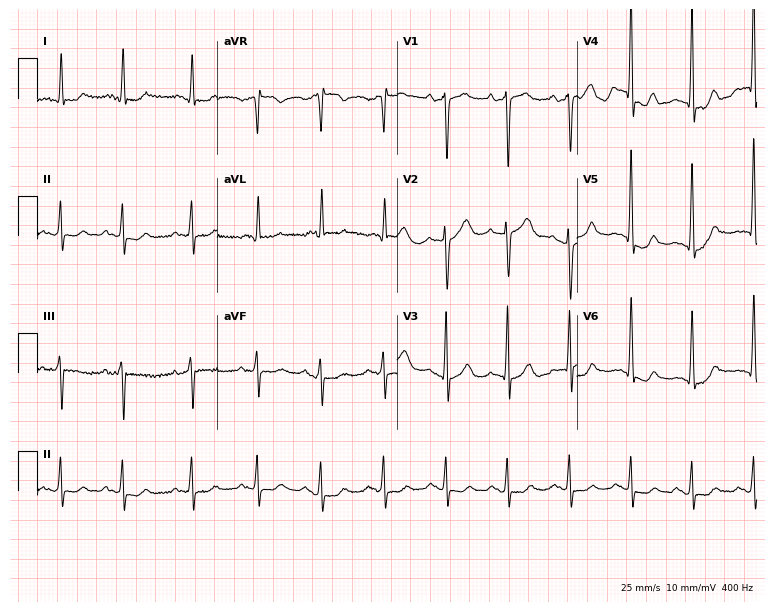
Standard 12-lead ECG recorded from a 78-year-old female. None of these six findings is recorded: first-degree AV block, right bundle branch block (RBBB), left bundle branch block (LBBB), sinus bradycardia, atrial fibrillation (AF), sinus tachycardia. Findings outside these six are not listed.